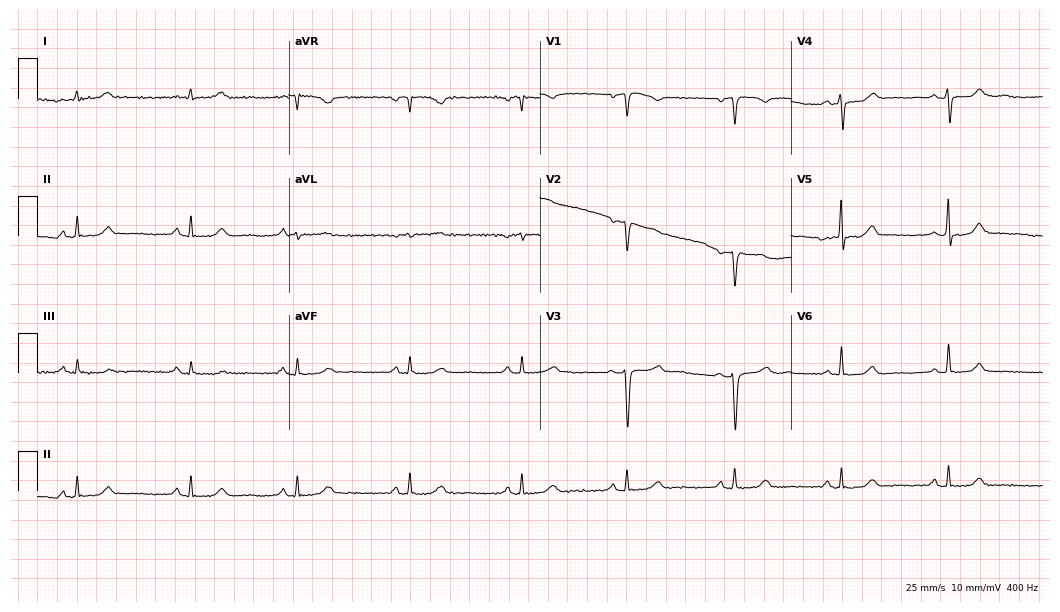
12-lead ECG (10.2-second recording at 400 Hz) from a 50-year-old female patient. Labelled as a normal ECG.